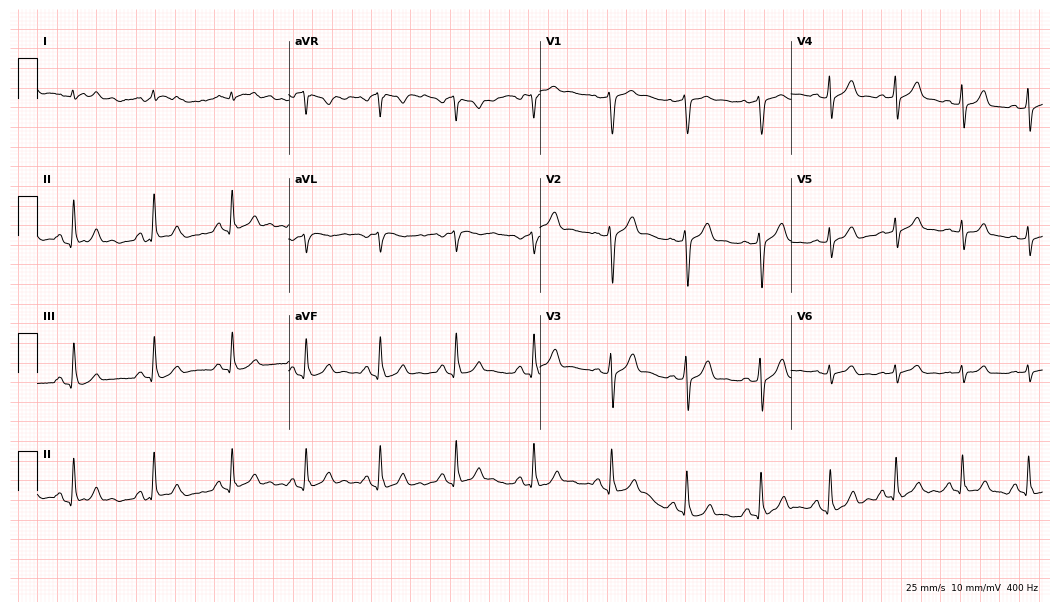
Standard 12-lead ECG recorded from a male patient, 47 years old (10.2-second recording at 400 Hz). None of these six findings is recorded: first-degree AV block, right bundle branch block, left bundle branch block, sinus bradycardia, atrial fibrillation, sinus tachycardia. Other findings, if any, are not listed.